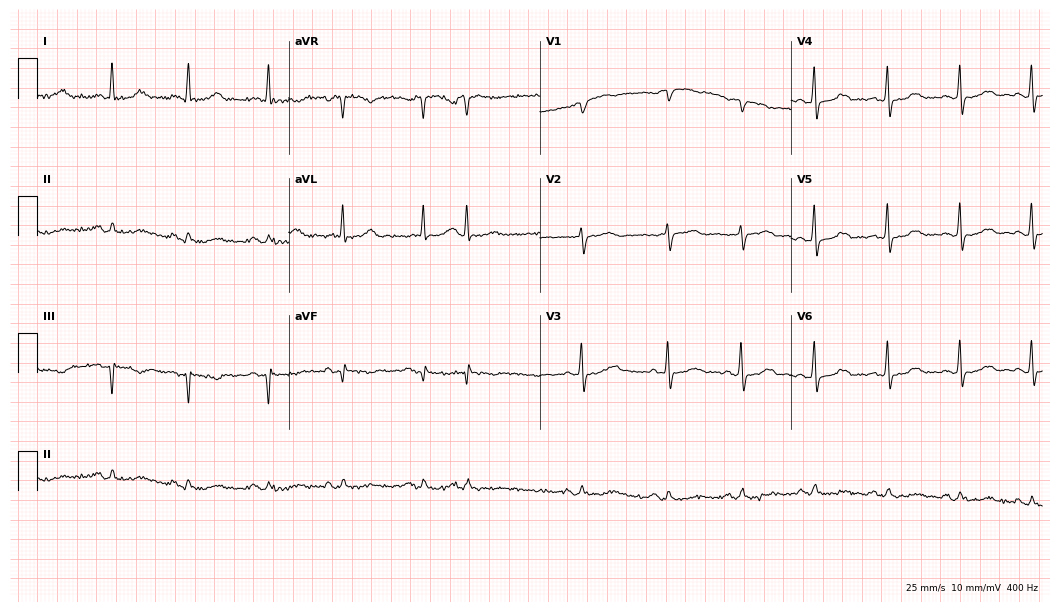
12-lead ECG (10.2-second recording at 400 Hz) from a 47-year-old female patient. Screened for six findings — first-degree AV block, right bundle branch block (RBBB), left bundle branch block (LBBB), sinus bradycardia, atrial fibrillation (AF), sinus tachycardia — none is recorded. Findings outside these six are not listed.